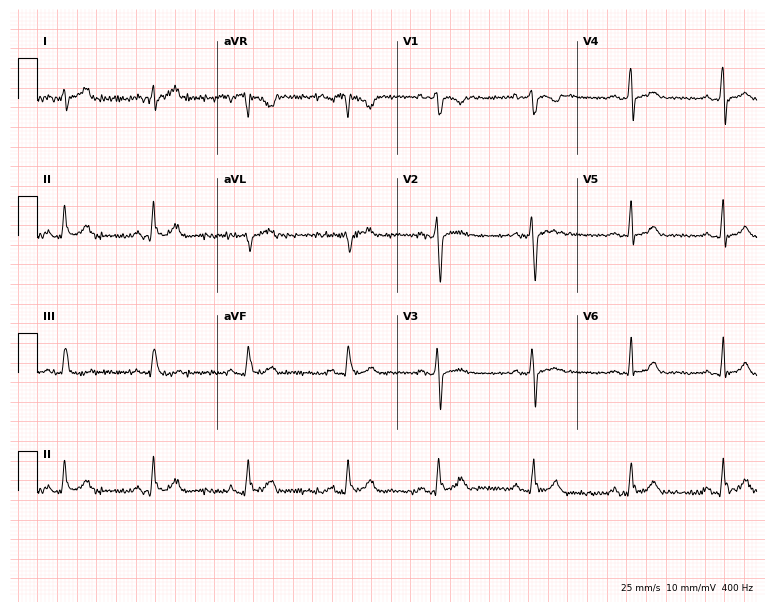
12-lead ECG (7.3-second recording at 400 Hz) from a 30-year-old female patient. Screened for six findings — first-degree AV block, right bundle branch block, left bundle branch block, sinus bradycardia, atrial fibrillation, sinus tachycardia — none is recorded. Findings outside these six are not listed.